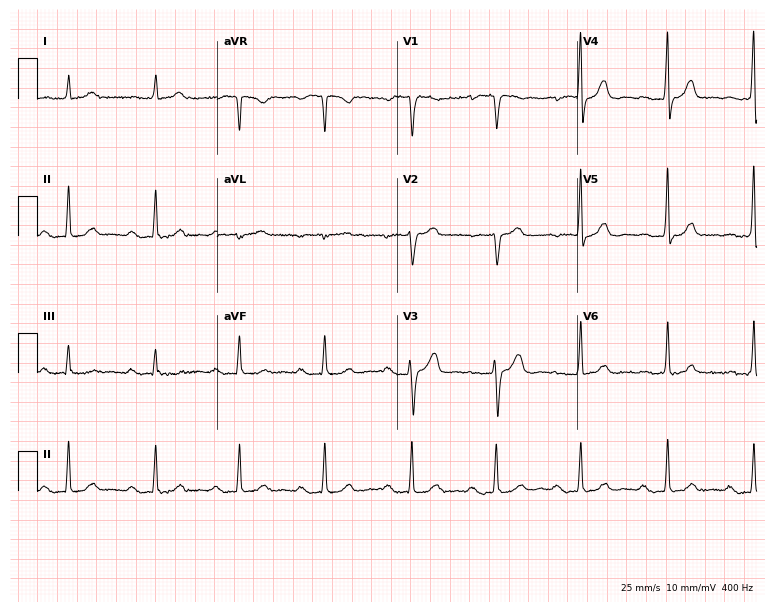
ECG (7.3-second recording at 400 Hz) — an 84-year-old female. Findings include first-degree AV block.